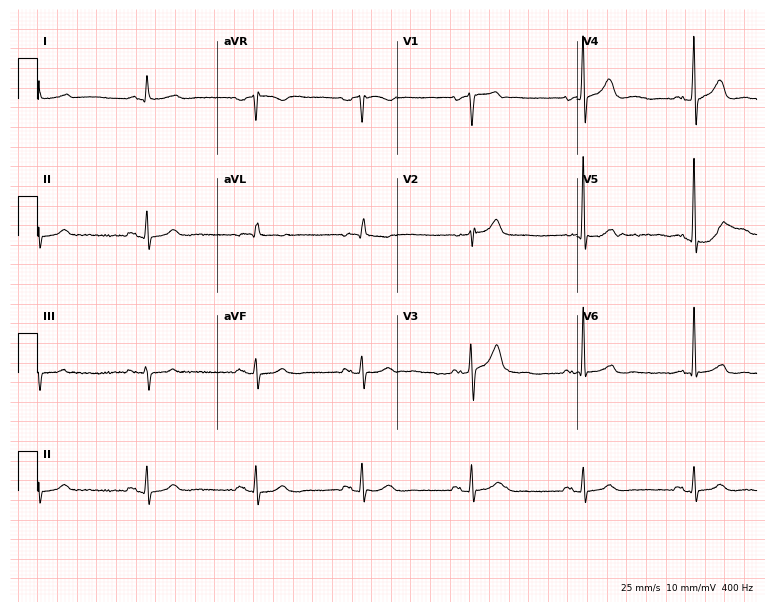
Electrocardiogram (7.3-second recording at 400 Hz), a 73-year-old male. Of the six screened findings (first-degree AV block, right bundle branch block, left bundle branch block, sinus bradycardia, atrial fibrillation, sinus tachycardia), none is recorded.